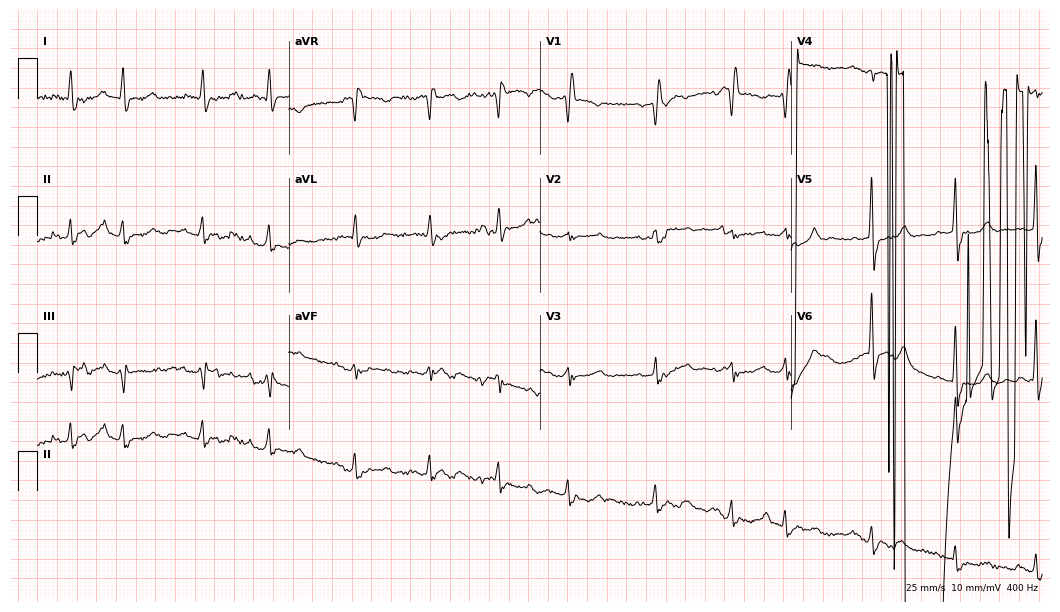
12-lead ECG from a female, 72 years old (10.2-second recording at 400 Hz). No first-degree AV block, right bundle branch block (RBBB), left bundle branch block (LBBB), sinus bradycardia, atrial fibrillation (AF) or sinus tachycardia recorded for this tracing.